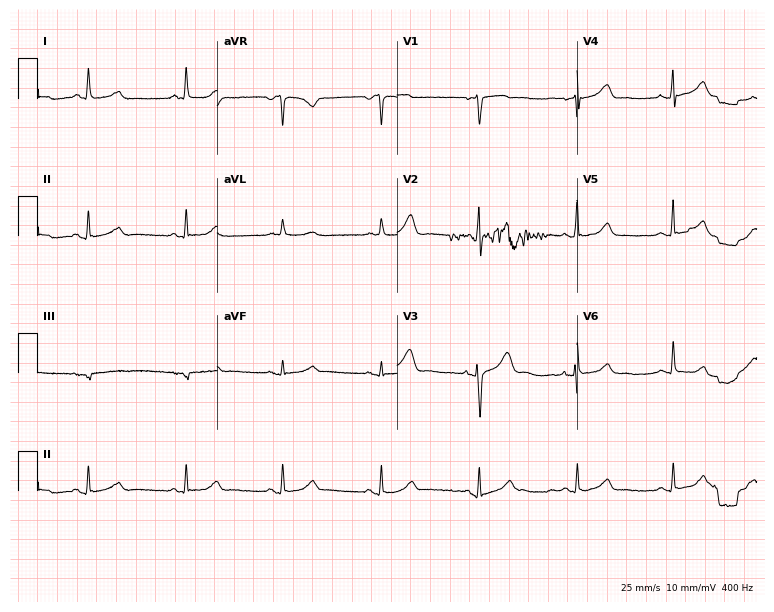
Resting 12-lead electrocardiogram. Patient: a woman, 69 years old. Read as a normal ECG.